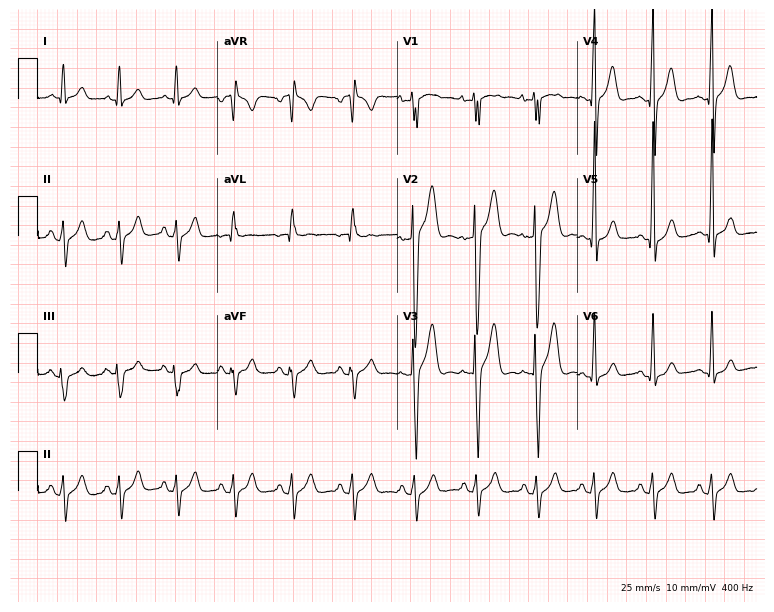
Resting 12-lead electrocardiogram (7.3-second recording at 400 Hz). Patient: a male, 20 years old. None of these six findings is recorded: first-degree AV block, right bundle branch block, left bundle branch block, sinus bradycardia, atrial fibrillation, sinus tachycardia. Findings outside these six are not listed.